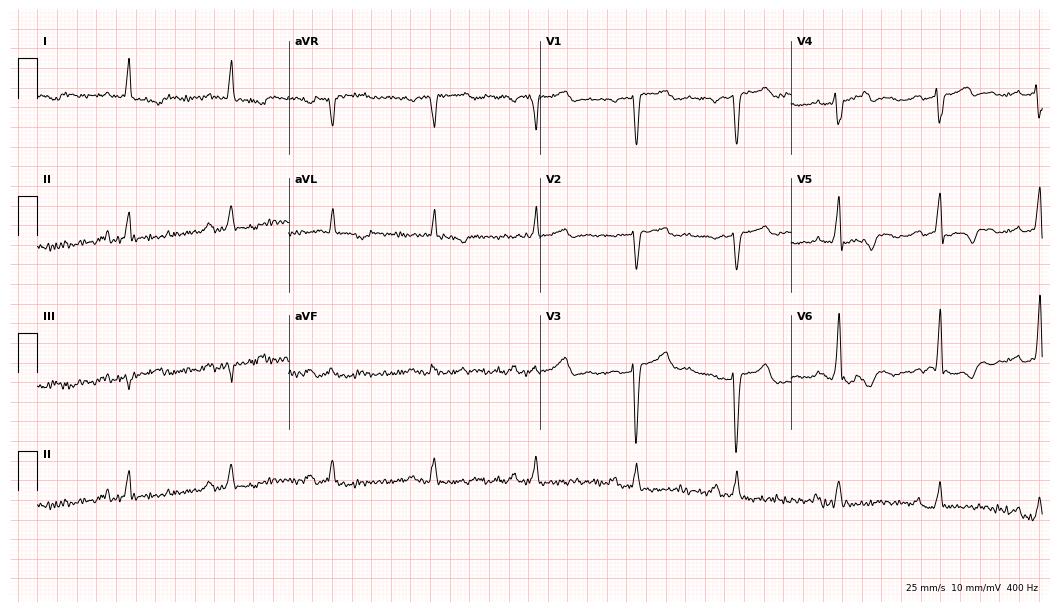
Standard 12-lead ECG recorded from a female patient, 85 years old. None of these six findings is recorded: first-degree AV block, right bundle branch block (RBBB), left bundle branch block (LBBB), sinus bradycardia, atrial fibrillation (AF), sinus tachycardia.